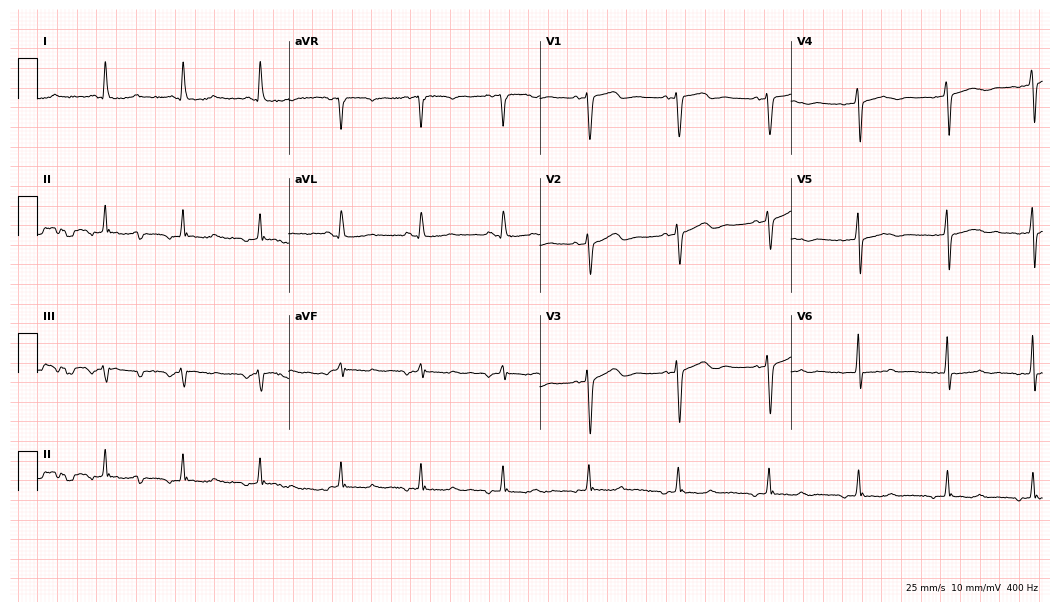
ECG (10.2-second recording at 400 Hz) — a woman, 62 years old. Screened for six findings — first-degree AV block, right bundle branch block, left bundle branch block, sinus bradycardia, atrial fibrillation, sinus tachycardia — none is recorded.